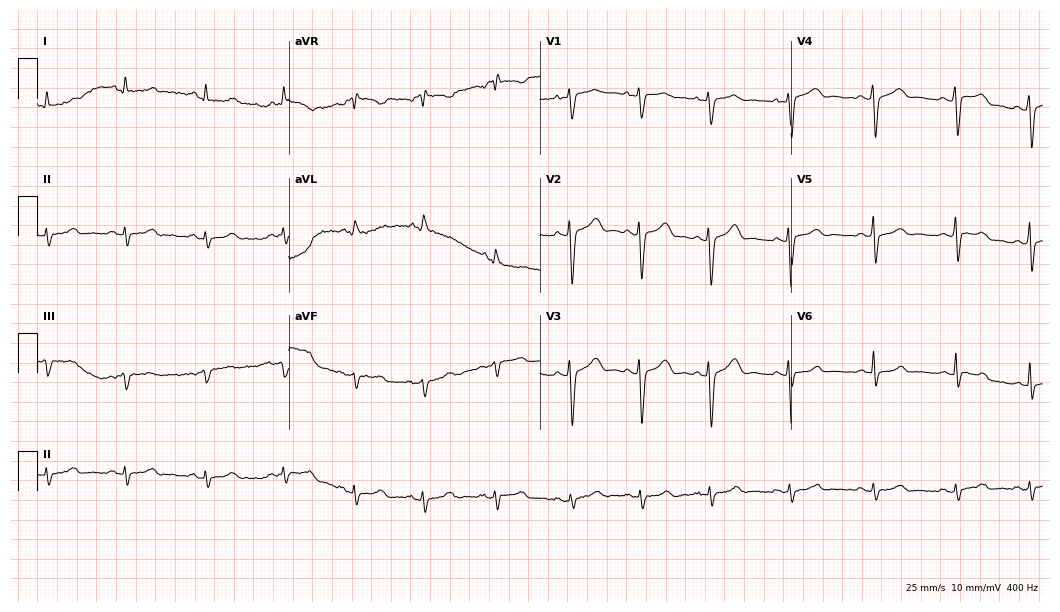
ECG — a 26-year-old woman. Screened for six findings — first-degree AV block, right bundle branch block (RBBB), left bundle branch block (LBBB), sinus bradycardia, atrial fibrillation (AF), sinus tachycardia — none is recorded. Findings outside these six are not listed.